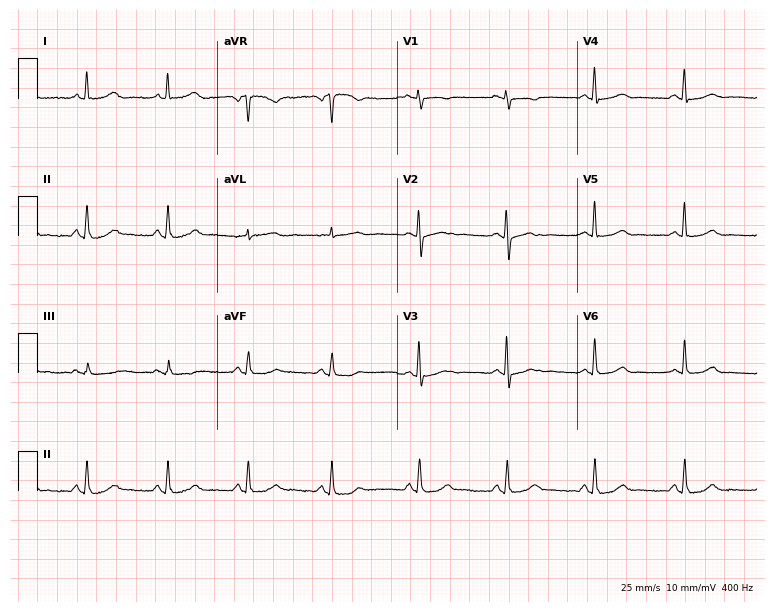
12-lead ECG from a 35-year-old female. Screened for six findings — first-degree AV block, right bundle branch block, left bundle branch block, sinus bradycardia, atrial fibrillation, sinus tachycardia — none is recorded.